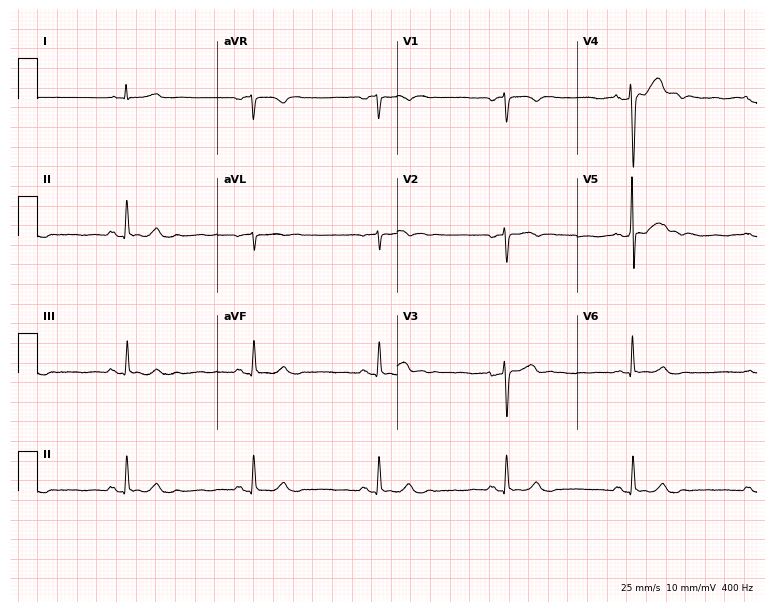
12-lead ECG (7.3-second recording at 400 Hz) from a man, 66 years old. Findings include sinus bradycardia (a sinus rate of 50 beats per minute or less).